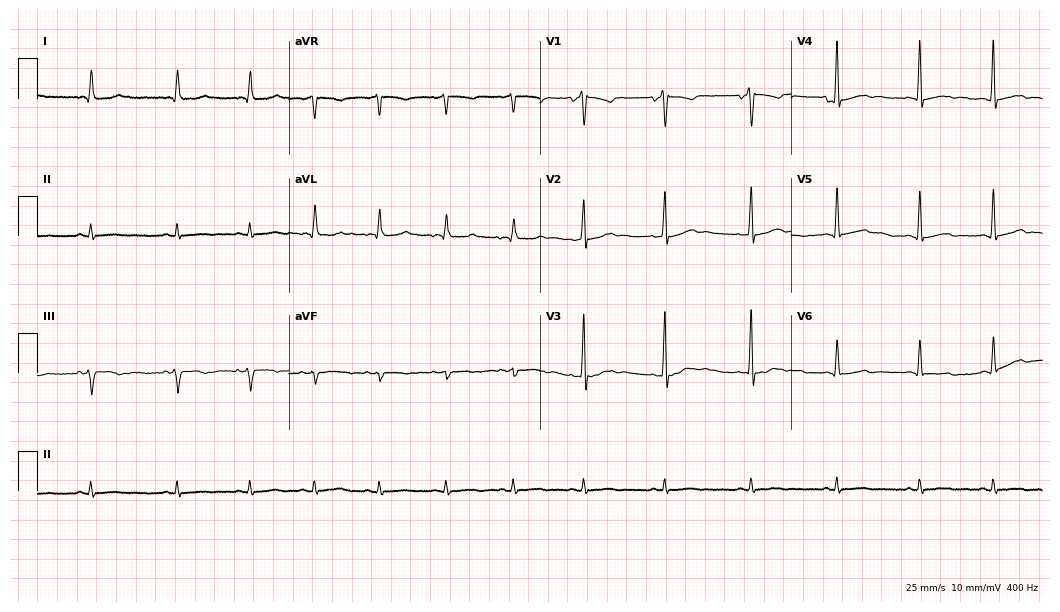
Standard 12-lead ECG recorded from a 30-year-old woman. None of these six findings is recorded: first-degree AV block, right bundle branch block, left bundle branch block, sinus bradycardia, atrial fibrillation, sinus tachycardia.